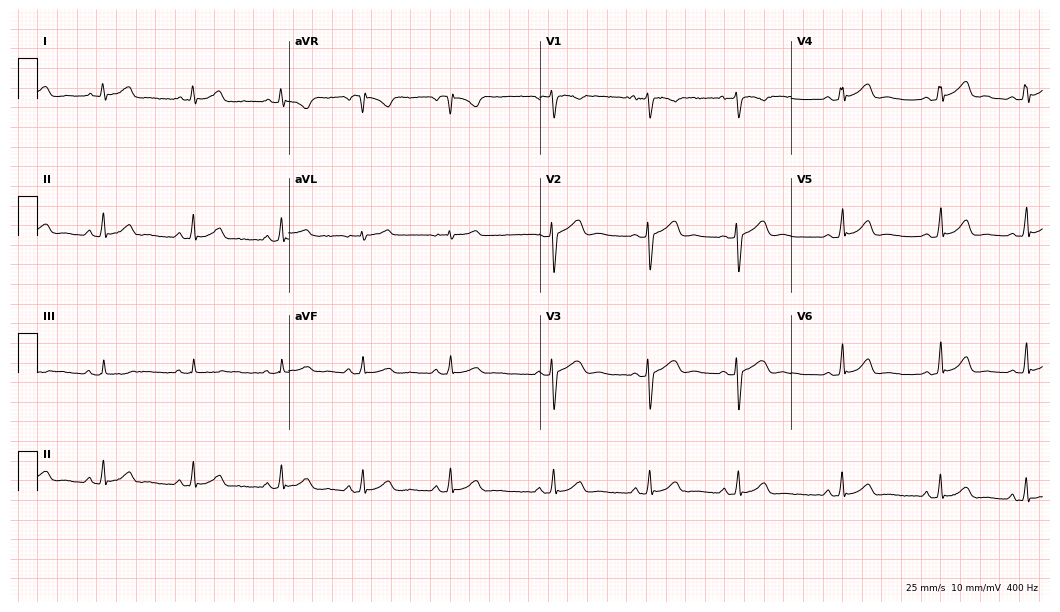
Electrocardiogram, a woman, 20 years old. Overall reading on record: normal ECG.